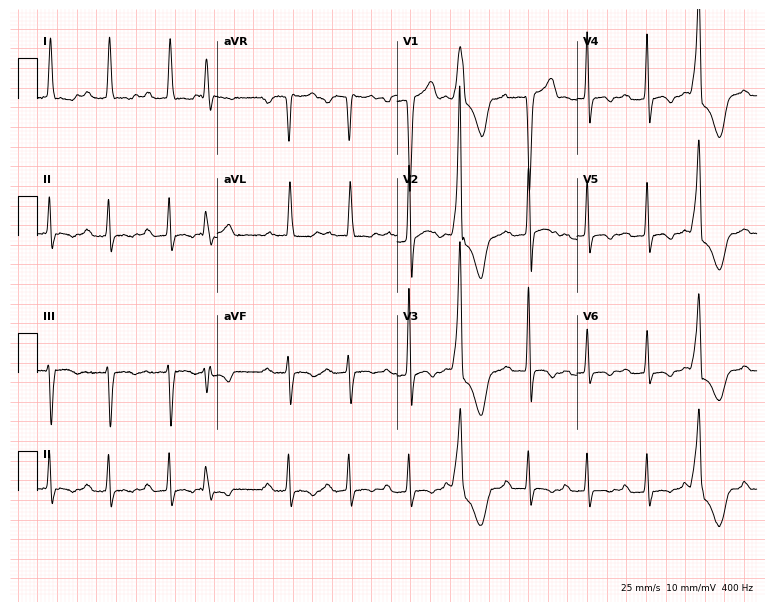
12-lead ECG from a man, 79 years old (7.3-second recording at 400 Hz). Shows first-degree AV block.